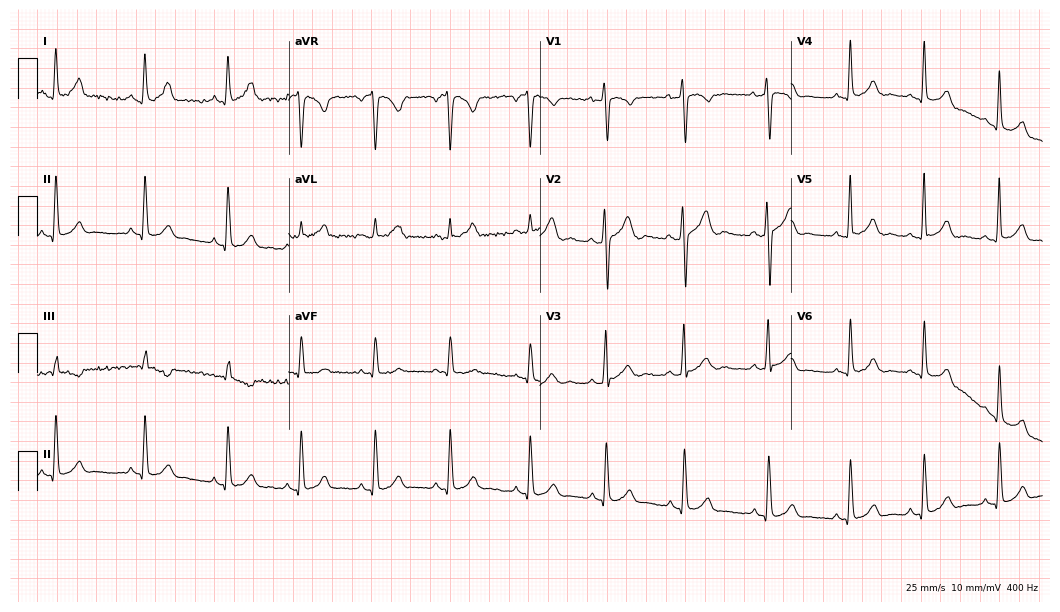
Standard 12-lead ECG recorded from a woman, 24 years old (10.2-second recording at 400 Hz). None of these six findings is recorded: first-degree AV block, right bundle branch block, left bundle branch block, sinus bradycardia, atrial fibrillation, sinus tachycardia.